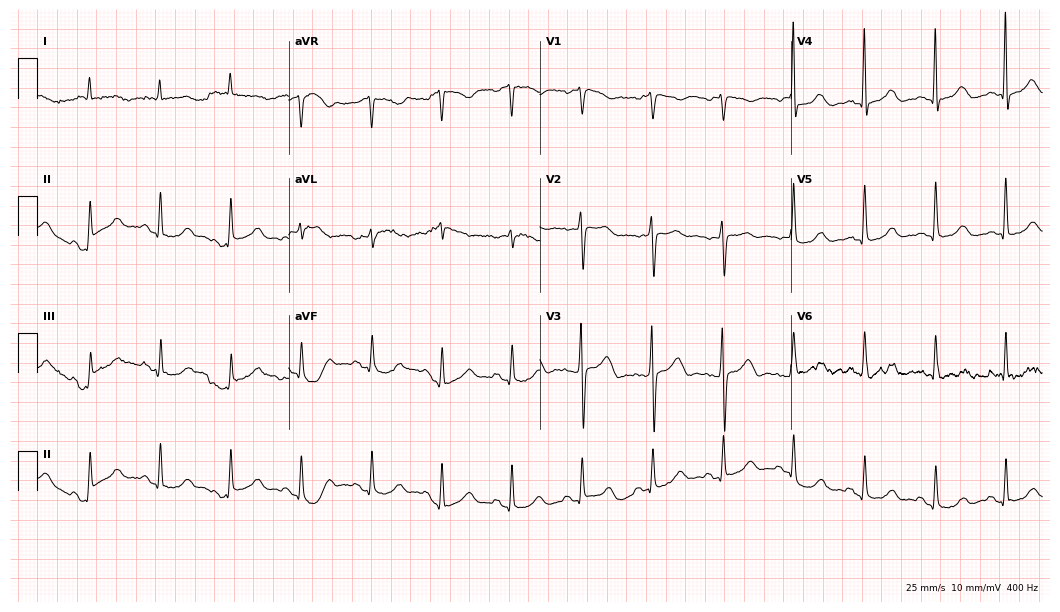
12-lead ECG from a female, 81 years old. Recorded interpretation: within normal limits.